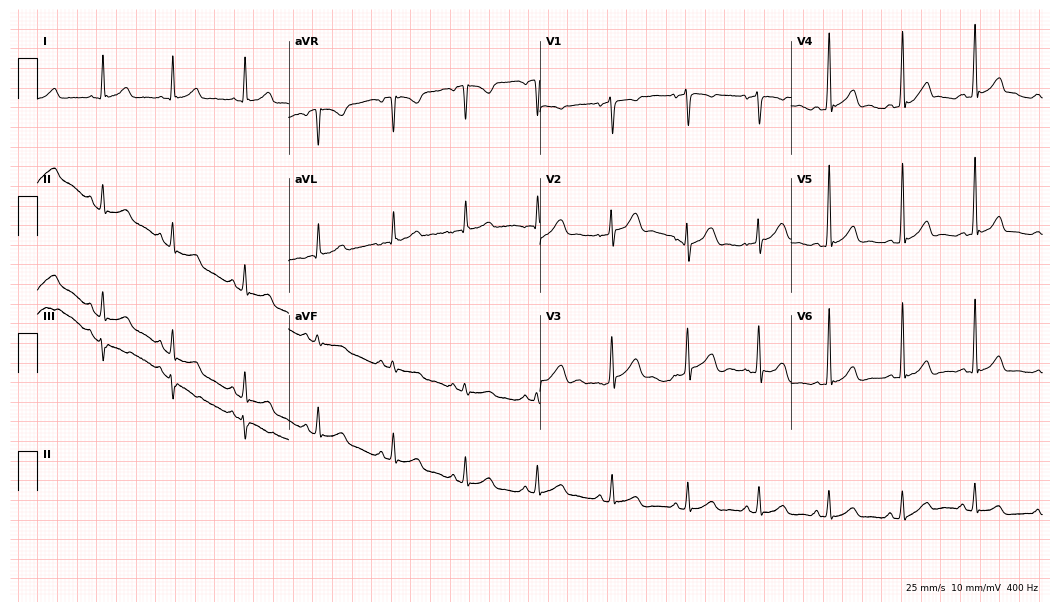
12-lead ECG from a 44-year-old woman. Recorded interpretation: within normal limits.